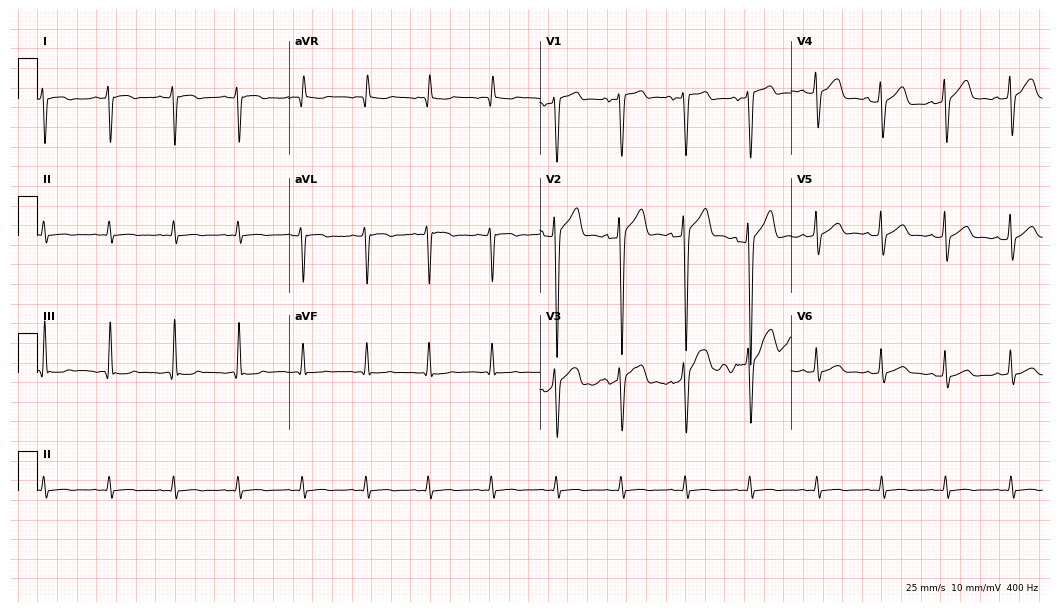
Standard 12-lead ECG recorded from a male, 20 years old. None of these six findings is recorded: first-degree AV block, right bundle branch block, left bundle branch block, sinus bradycardia, atrial fibrillation, sinus tachycardia.